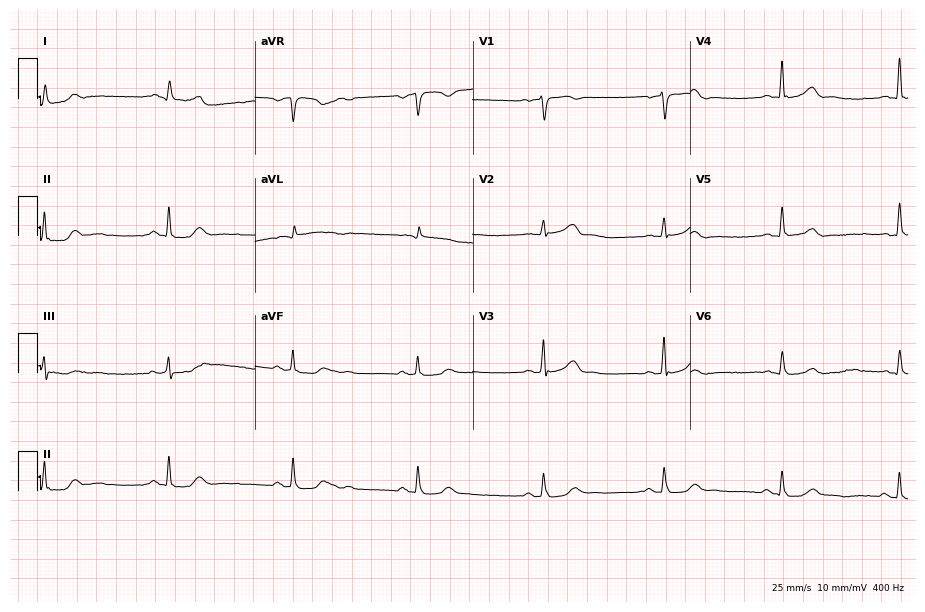
Resting 12-lead electrocardiogram (8.9-second recording at 400 Hz). Patient: a 63-year-old male. The tracing shows sinus bradycardia (a sinus rate of 50 beats per minute or less).